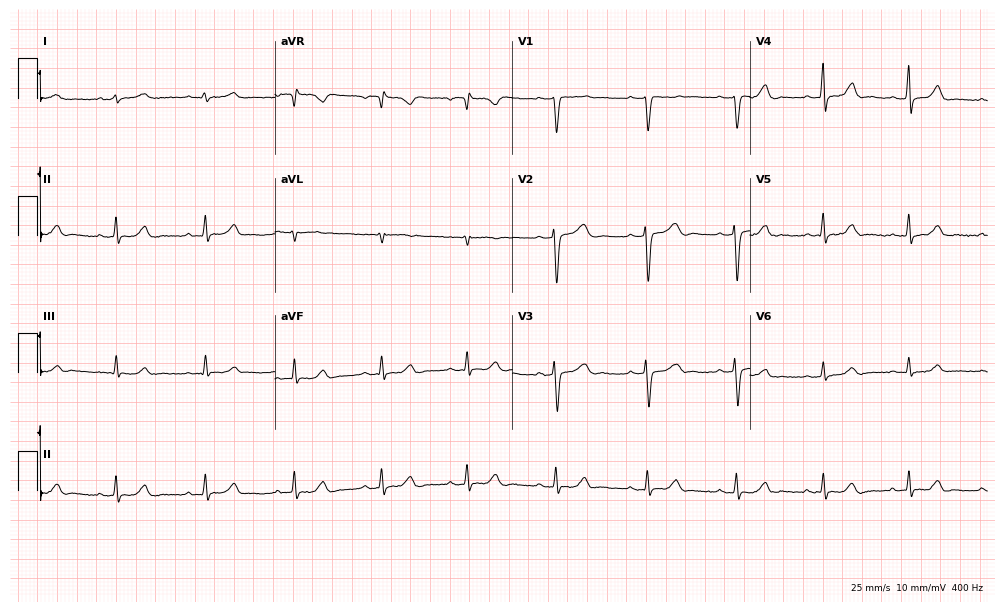
Resting 12-lead electrocardiogram. Patient: a female, 36 years old. Read as a normal ECG.